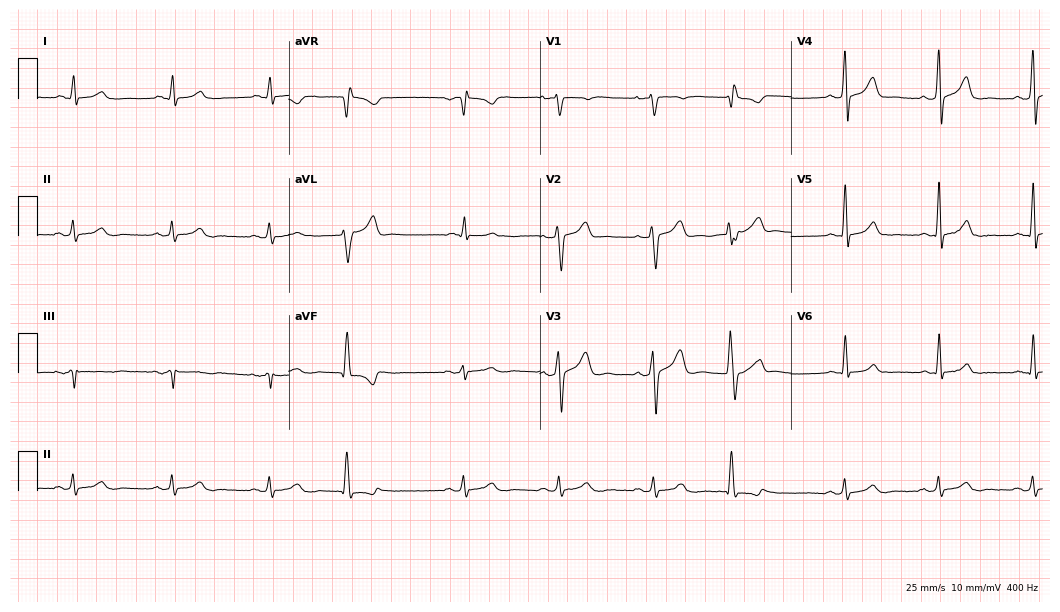
12-lead ECG (10.2-second recording at 400 Hz) from a 57-year-old man. Labelled as a normal ECG.